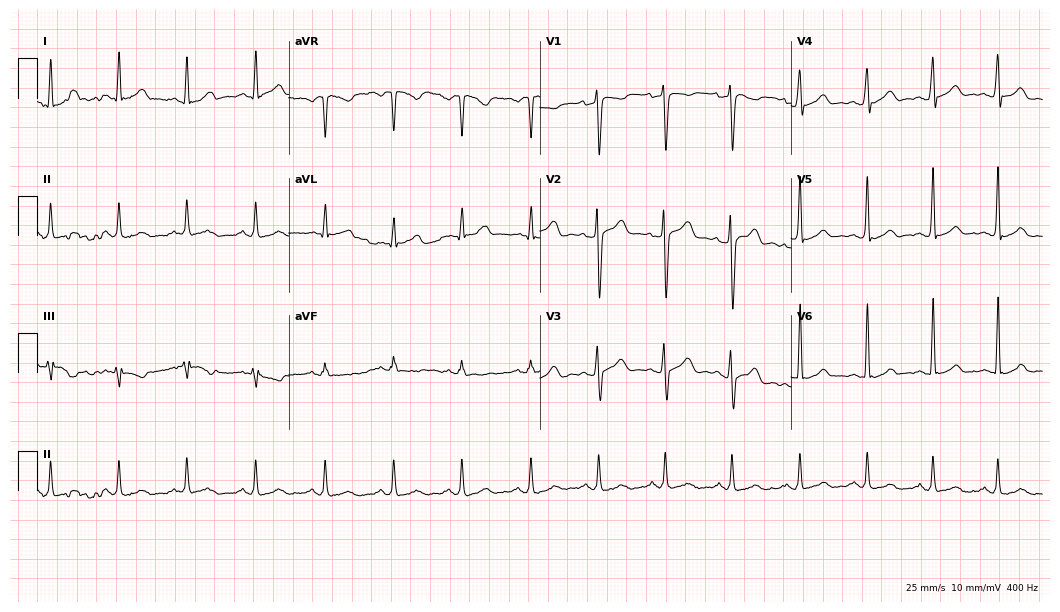
ECG (10.2-second recording at 400 Hz) — a man, 26 years old. Screened for six findings — first-degree AV block, right bundle branch block (RBBB), left bundle branch block (LBBB), sinus bradycardia, atrial fibrillation (AF), sinus tachycardia — none is recorded.